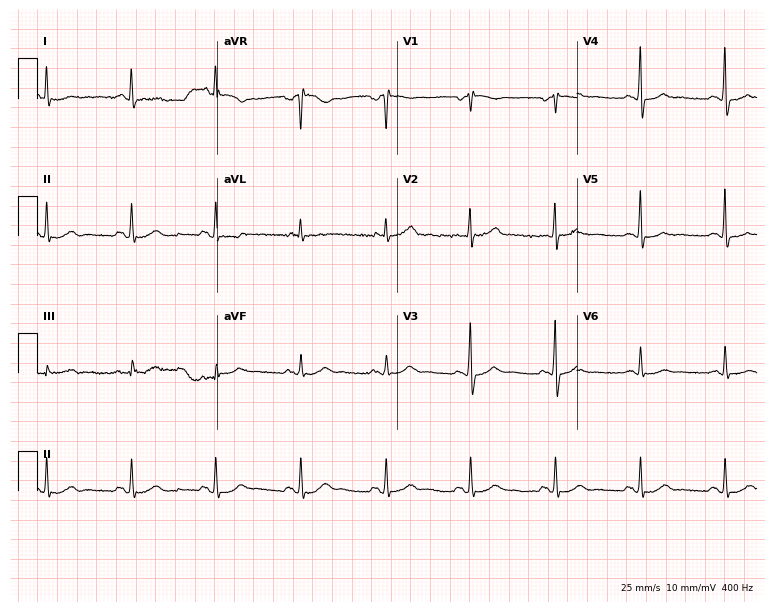
12-lead ECG from a 62-year-old man. No first-degree AV block, right bundle branch block, left bundle branch block, sinus bradycardia, atrial fibrillation or sinus tachycardia recorded for this tracing.